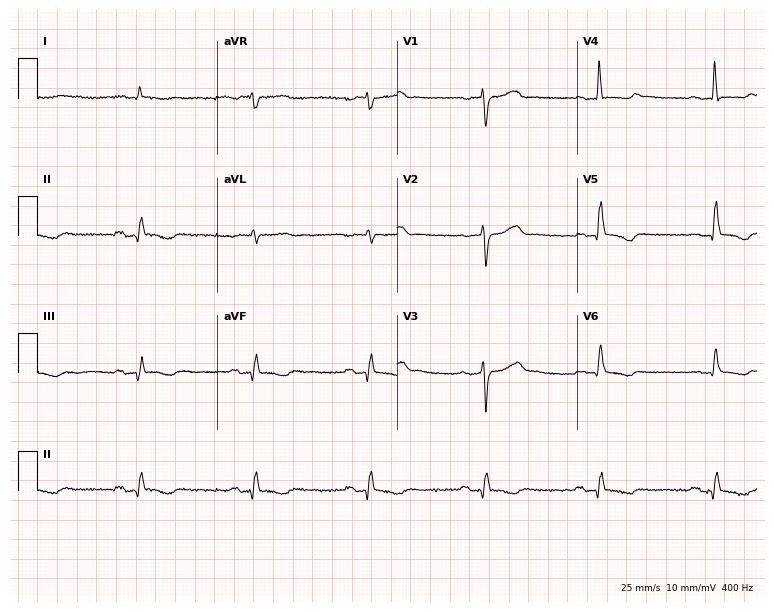
ECG (7.3-second recording at 400 Hz) — a male patient, 64 years old. Labelled as a normal ECG.